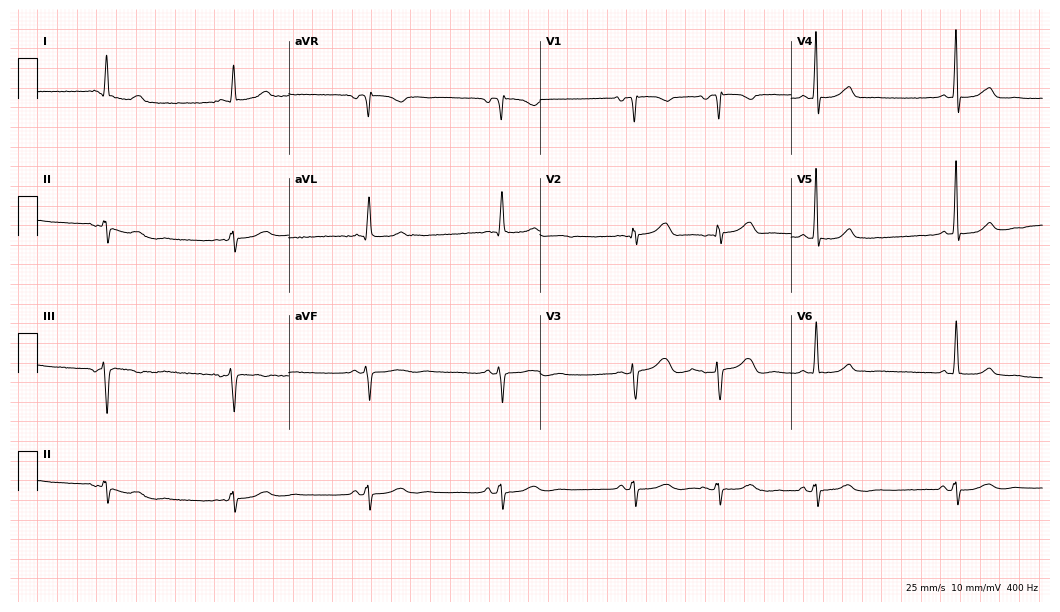
ECG (10.2-second recording at 400 Hz) — a female, 84 years old. Findings include sinus bradycardia (a sinus rate of 50 beats per minute or less).